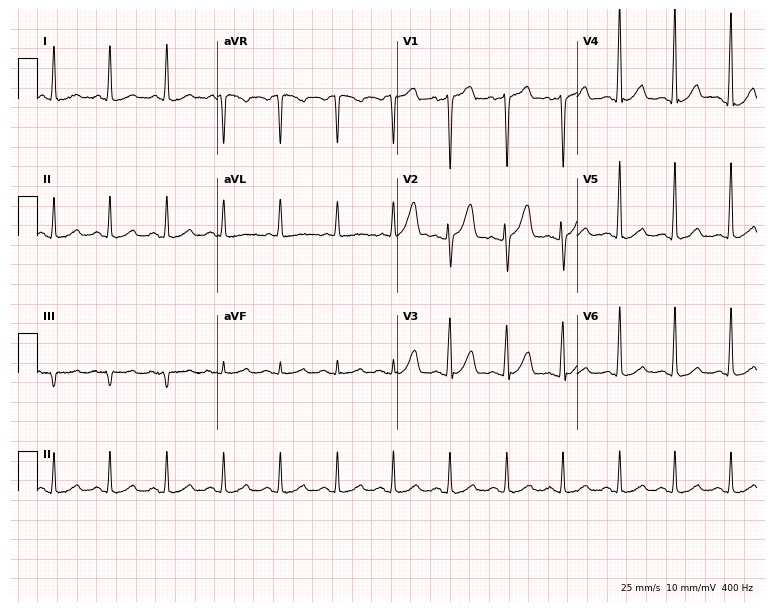
Resting 12-lead electrocardiogram (7.3-second recording at 400 Hz). Patient: a female, 72 years old. The tracing shows sinus tachycardia (a sinus rate of 100 beats per minute or more).